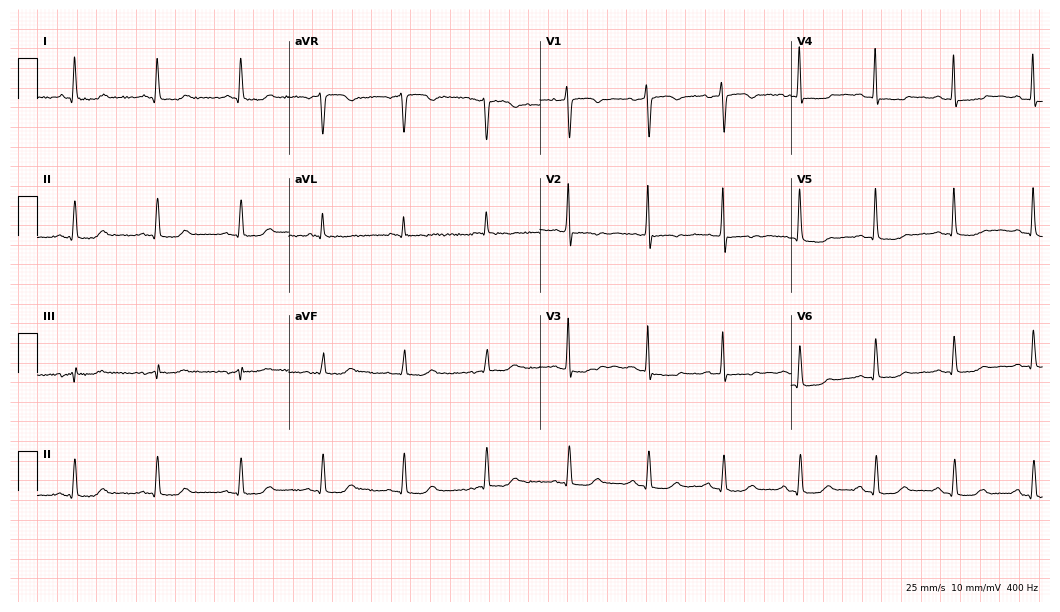
ECG — a female patient, 77 years old. Screened for six findings — first-degree AV block, right bundle branch block, left bundle branch block, sinus bradycardia, atrial fibrillation, sinus tachycardia — none is recorded.